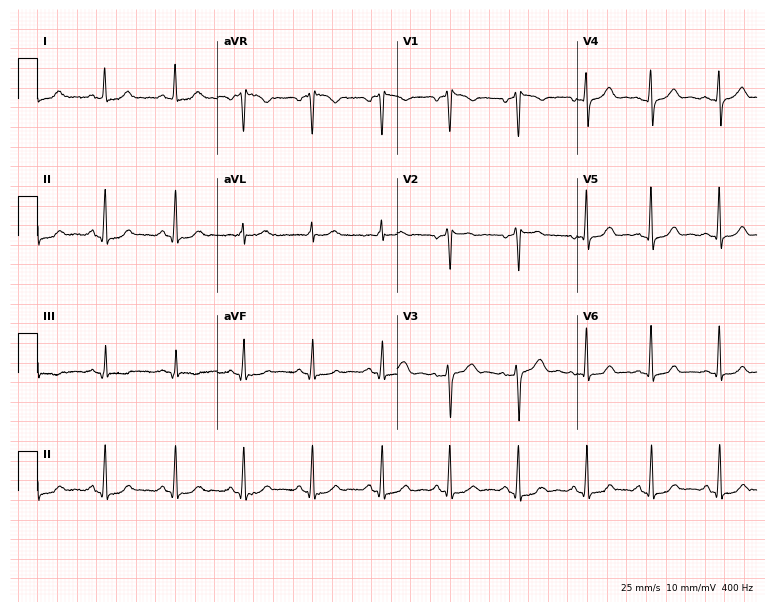
ECG — a woman, 42 years old. Screened for six findings — first-degree AV block, right bundle branch block, left bundle branch block, sinus bradycardia, atrial fibrillation, sinus tachycardia — none is recorded. Only these six findings were labelled.